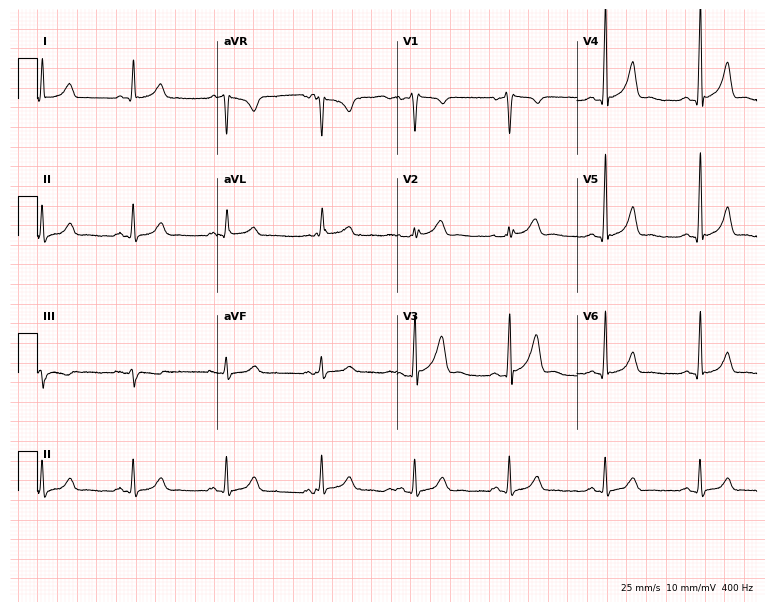
Standard 12-lead ECG recorded from a male, 45 years old. Read as a normal ECG.